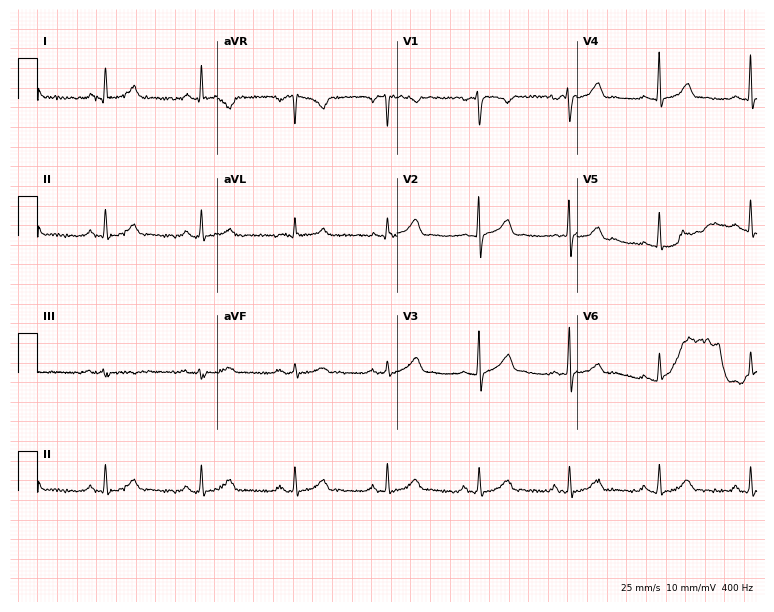
Resting 12-lead electrocardiogram (7.3-second recording at 400 Hz). Patient: a 40-year-old man. Read as a normal ECG.